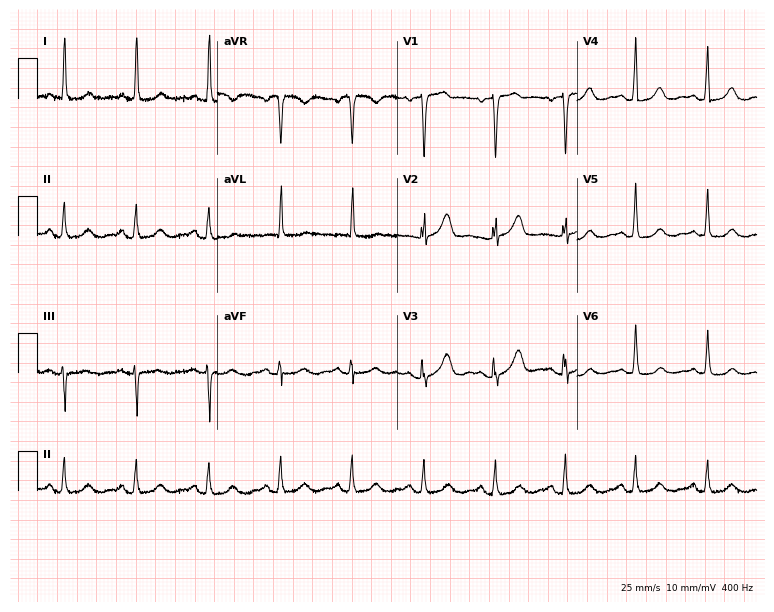
Resting 12-lead electrocardiogram. Patient: a woman, 62 years old. Read as a normal ECG.